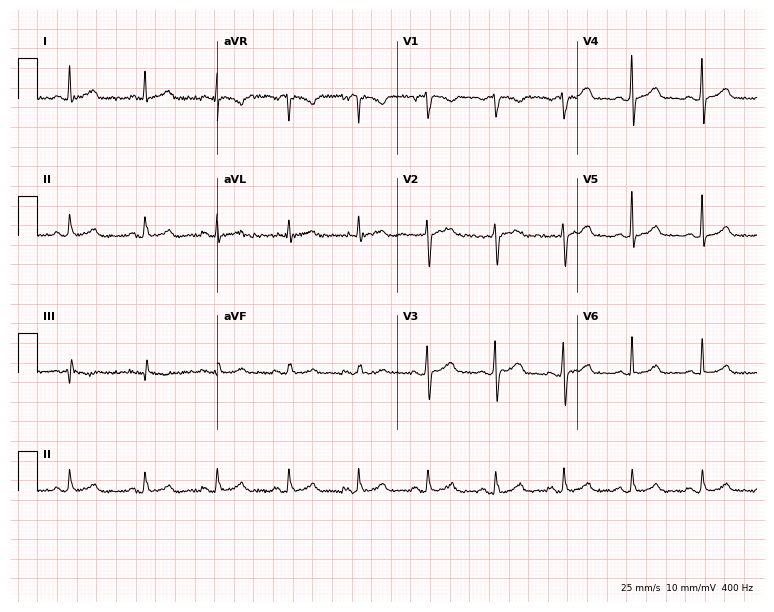
12-lead ECG from a man, 45 years old (7.3-second recording at 400 Hz). Recorded interpretation: within normal limits.